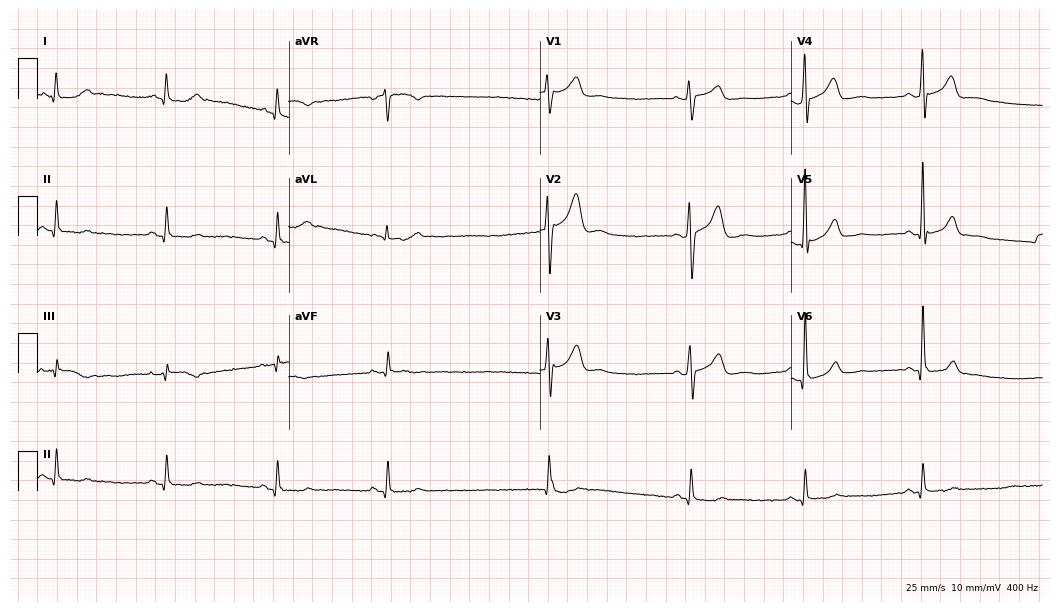
Resting 12-lead electrocardiogram. Patient: a male, 67 years old. Read as a normal ECG.